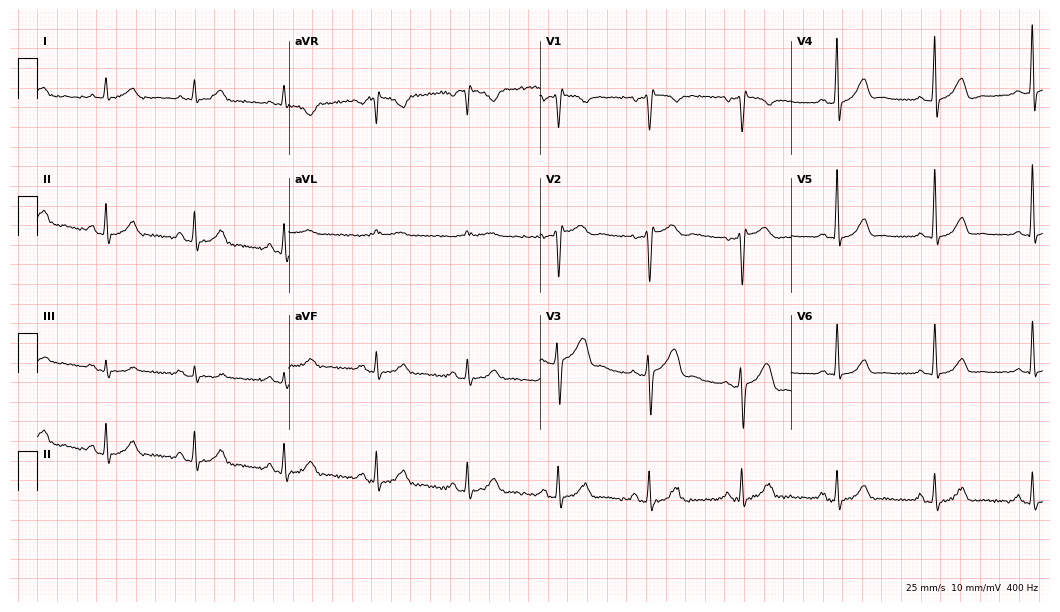
12-lead ECG from a male, 51 years old (10.2-second recording at 400 Hz). No first-degree AV block, right bundle branch block, left bundle branch block, sinus bradycardia, atrial fibrillation or sinus tachycardia recorded for this tracing. Only these six findings were labelled.